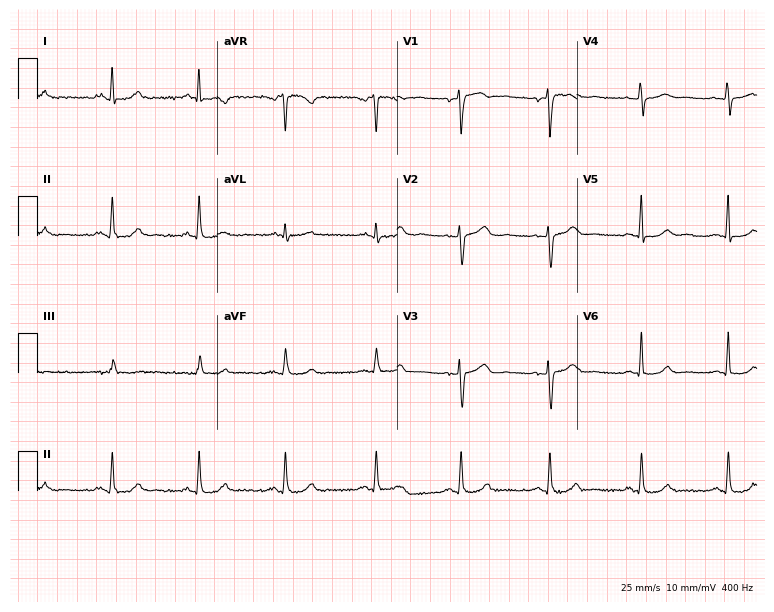
12-lead ECG from a 52-year-old female patient. No first-degree AV block, right bundle branch block, left bundle branch block, sinus bradycardia, atrial fibrillation or sinus tachycardia recorded for this tracing.